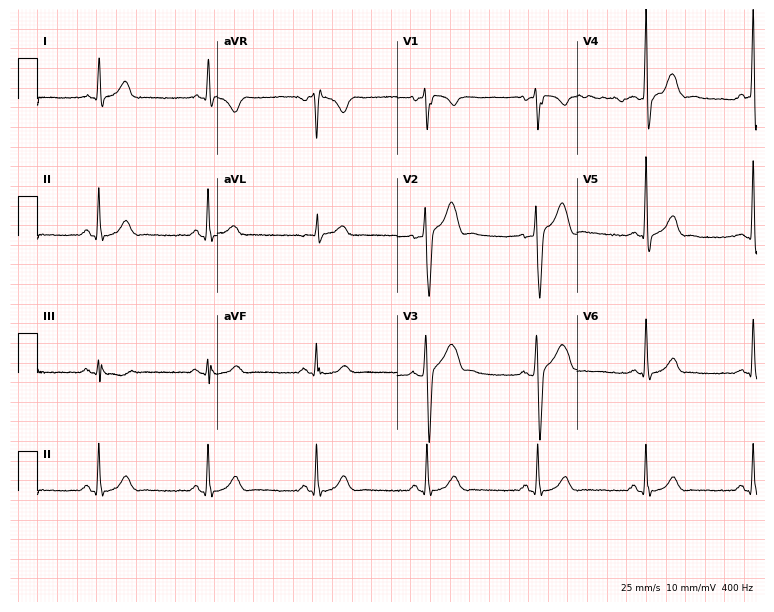
12-lead ECG (7.3-second recording at 400 Hz) from a man, 40 years old. Labelled as a normal ECG.